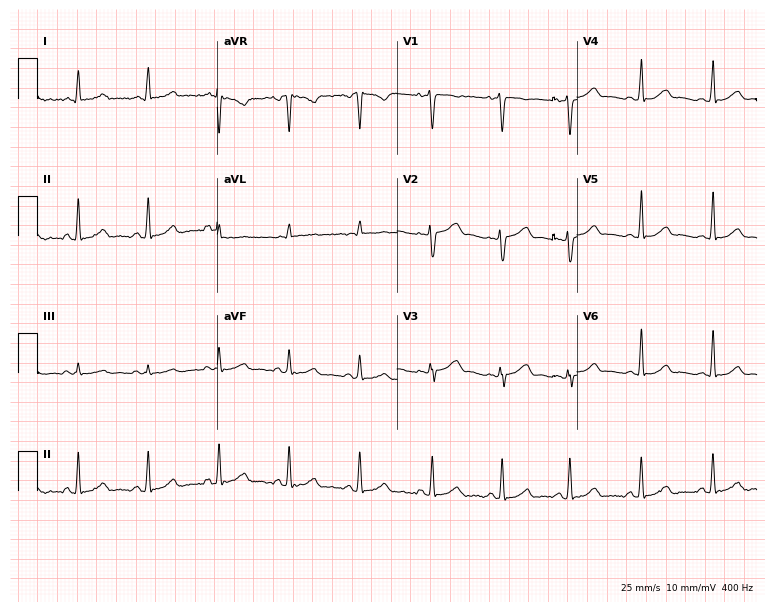
Resting 12-lead electrocardiogram. Patient: a female, 28 years old. None of these six findings is recorded: first-degree AV block, right bundle branch block, left bundle branch block, sinus bradycardia, atrial fibrillation, sinus tachycardia. Only these six findings were labelled.